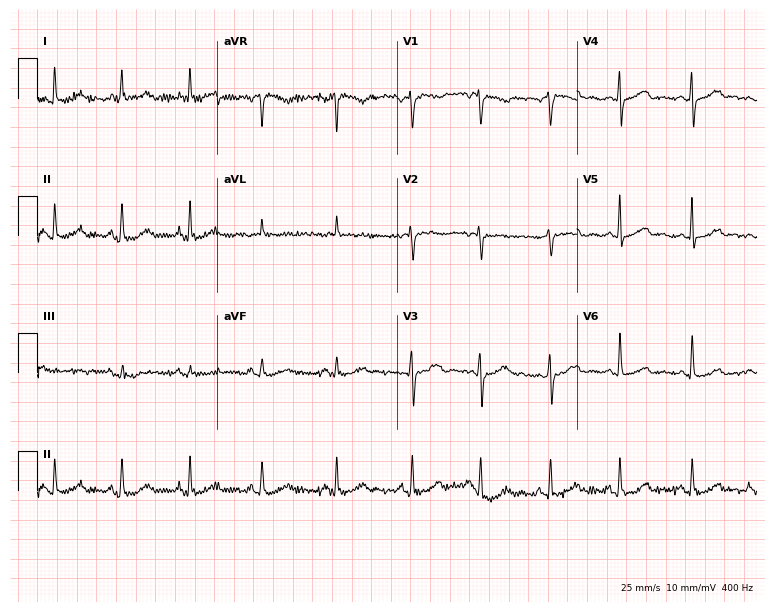
Standard 12-lead ECG recorded from a 50-year-old female patient. Read as a normal ECG.